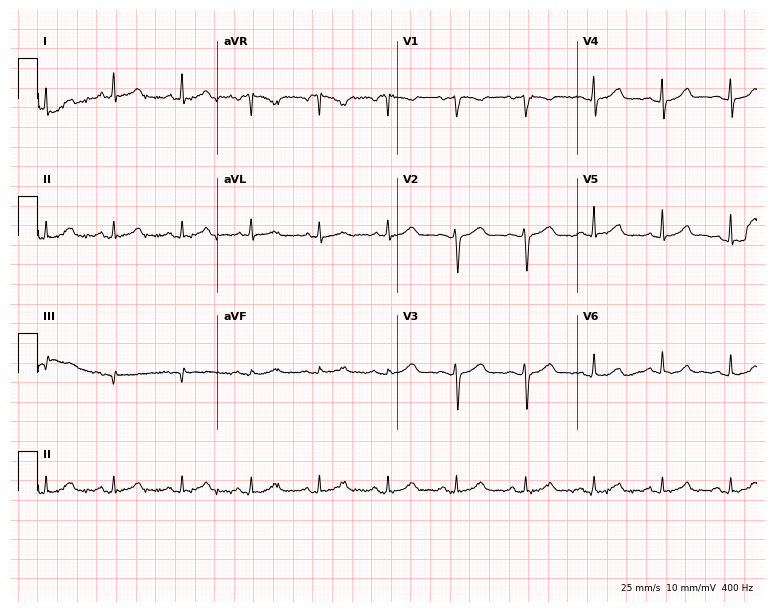
ECG — a 51-year-old female. Labelled as a normal ECG.